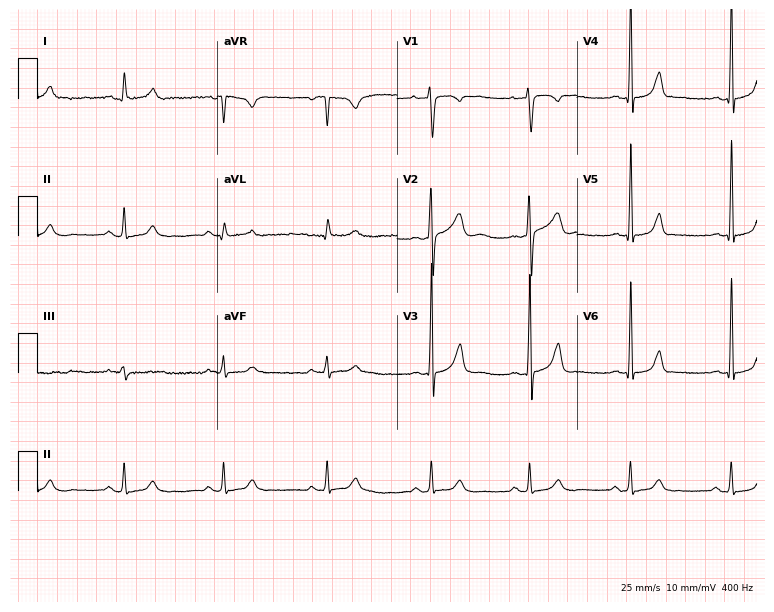
12-lead ECG from a male, 41 years old. Recorded interpretation: within normal limits.